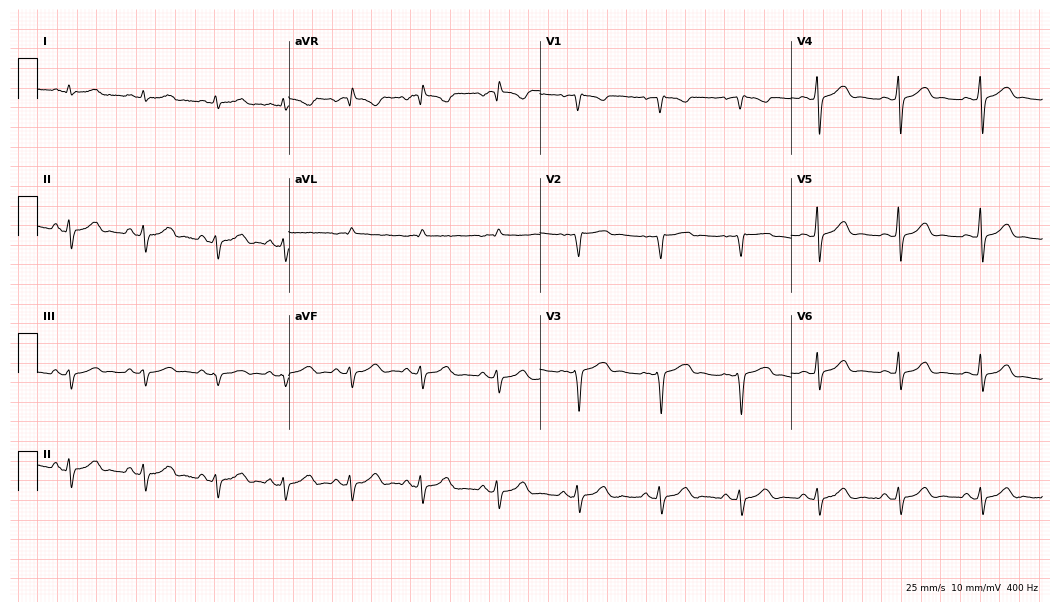
Standard 12-lead ECG recorded from a woman, 34 years old. None of these six findings is recorded: first-degree AV block, right bundle branch block, left bundle branch block, sinus bradycardia, atrial fibrillation, sinus tachycardia.